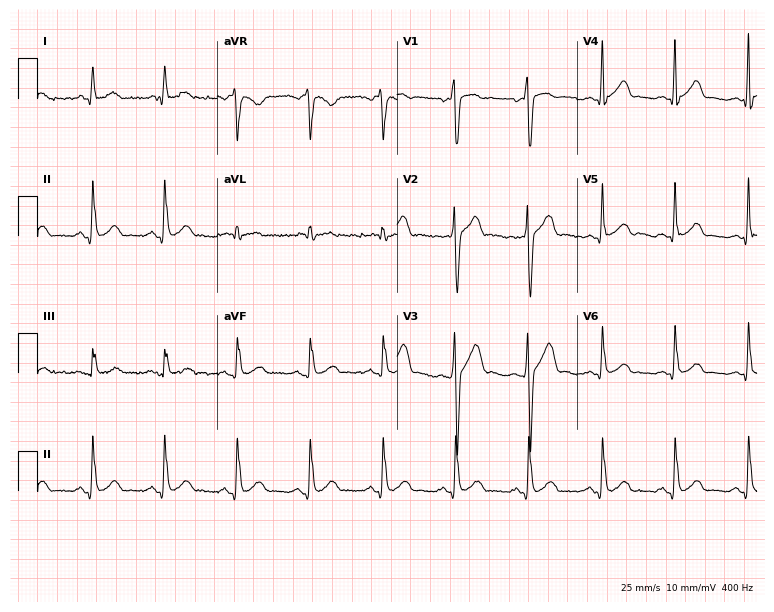
Standard 12-lead ECG recorded from a man, 42 years old. Read as a normal ECG.